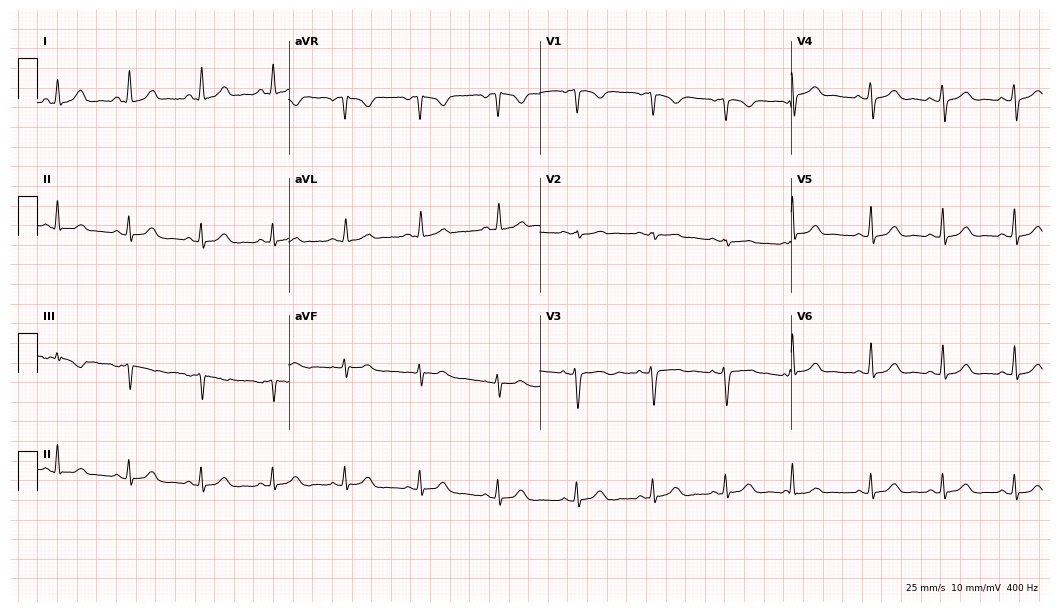
ECG — a woman, 44 years old. Screened for six findings — first-degree AV block, right bundle branch block (RBBB), left bundle branch block (LBBB), sinus bradycardia, atrial fibrillation (AF), sinus tachycardia — none is recorded.